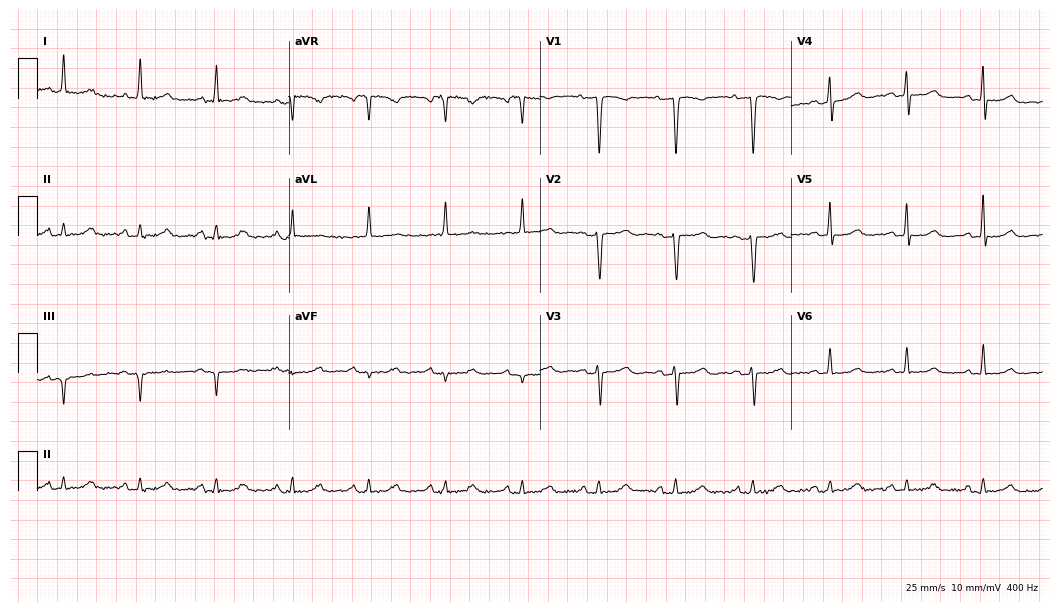
12-lead ECG from an 83-year-old female patient (10.2-second recording at 400 Hz). Recorded interpretation: within normal limits.